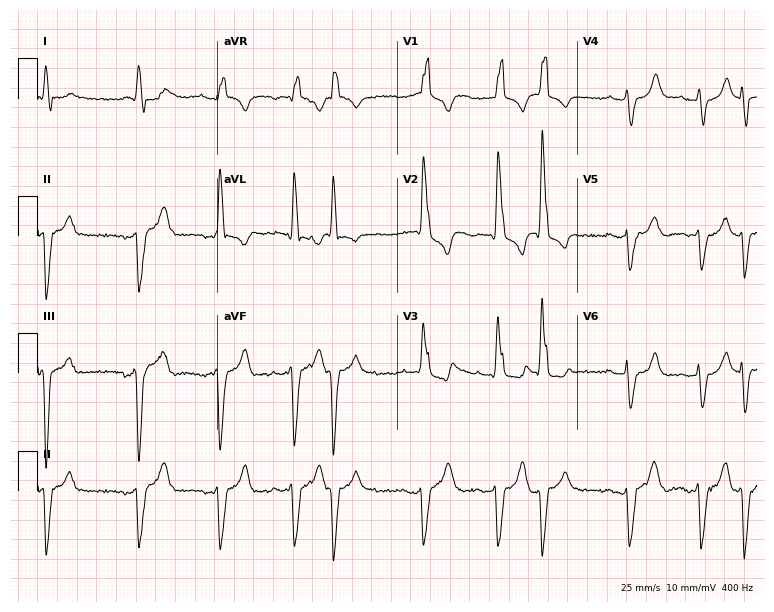
ECG — an 80-year-old male patient. Findings include right bundle branch block.